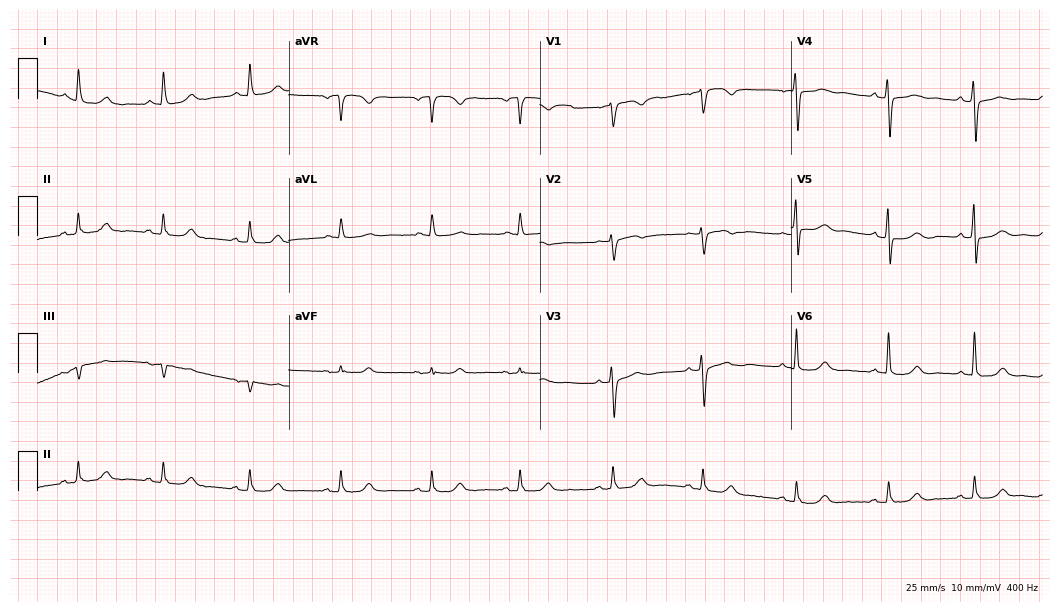
Electrocardiogram, a female patient, 60 years old. Overall reading on record: normal ECG.